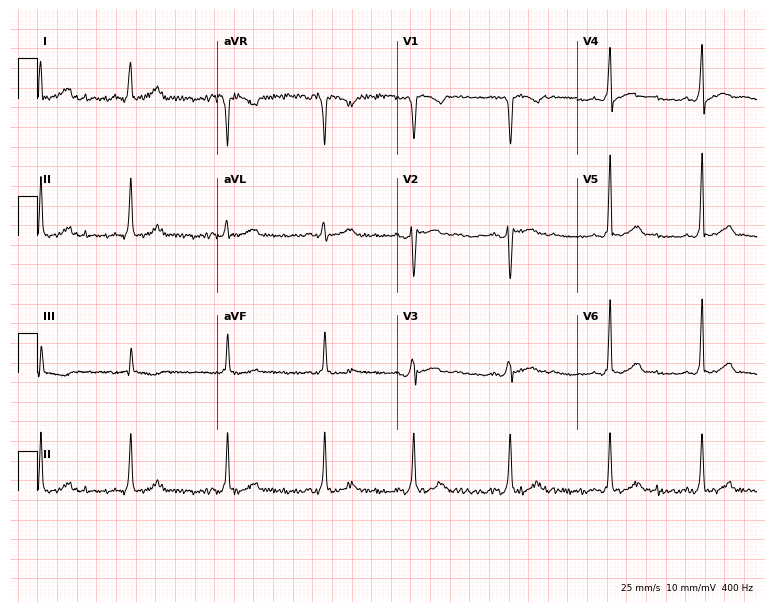
Electrocardiogram, a female patient, 18 years old. Overall reading on record: normal ECG.